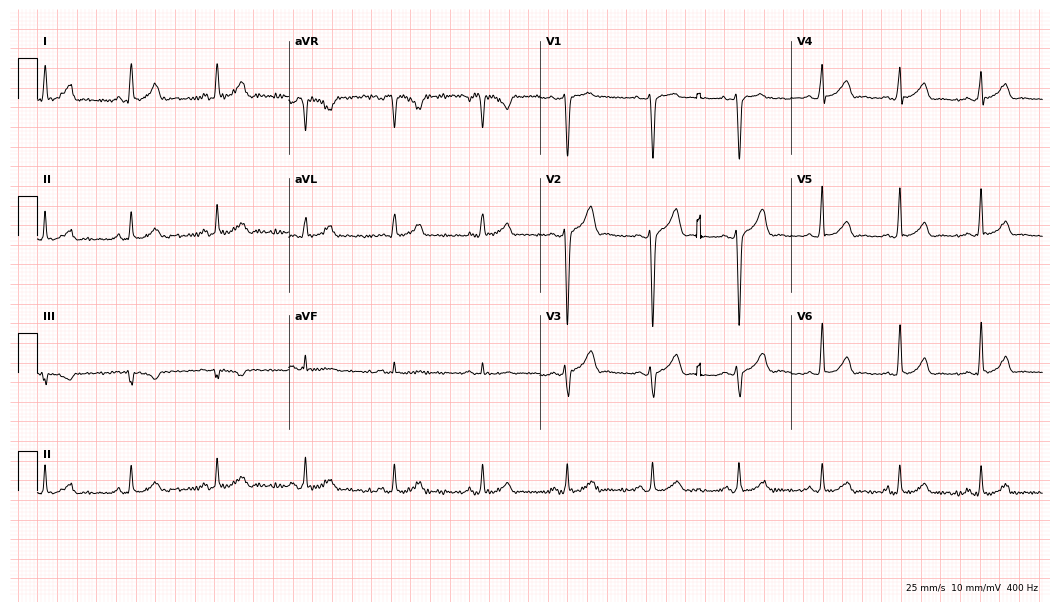
12-lead ECG from a 26-year-old male. Recorded interpretation: within normal limits.